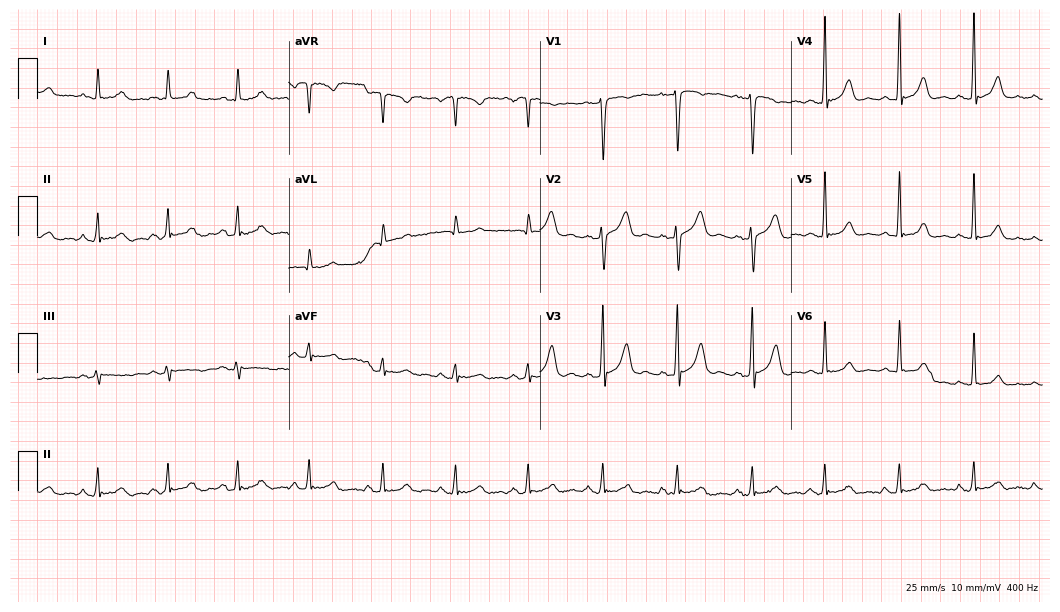
ECG — a 31-year-old female patient. Labelled as a normal ECG.